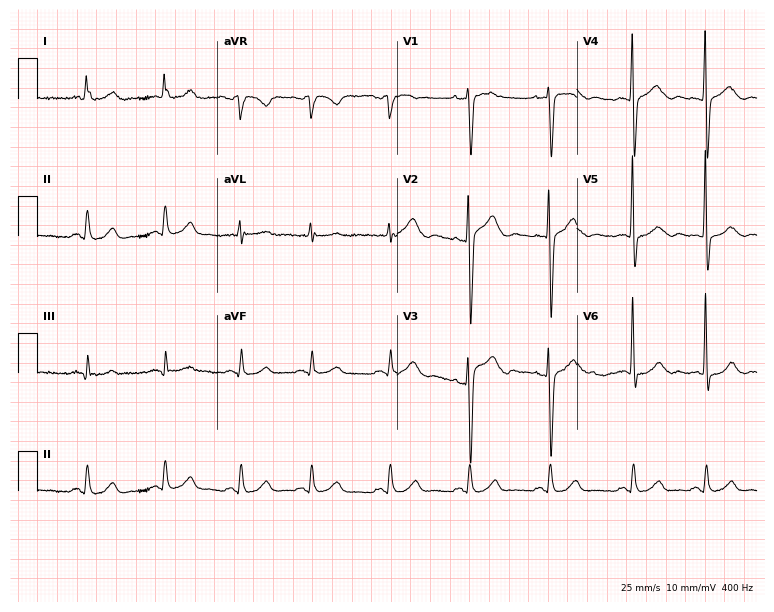
Resting 12-lead electrocardiogram. Patient: a 29-year-old female. Read as a normal ECG.